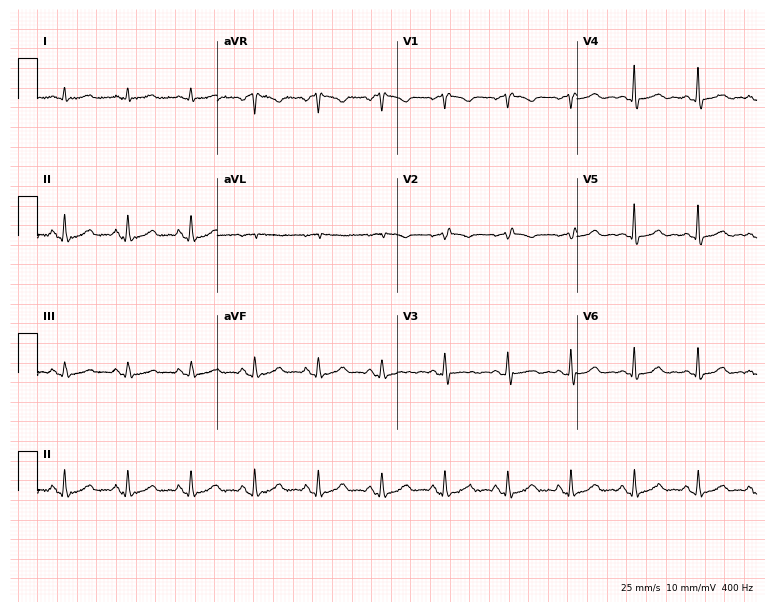
Standard 12-lead ECG recorded from a female patient, 63 years old. Read as a normal ECG.